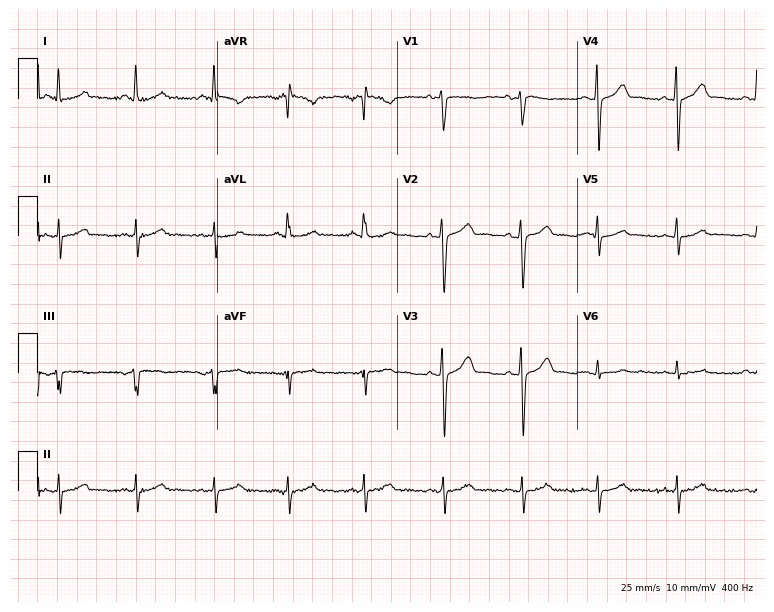
ECG — a 42-year-old female patient. Screened for six findings — first-degree AV block, right bundle branch block (RBBB), left bundle branch block (LBBB), sinus bradycardia, atrial fibrillation (AF), sinus tachycardia — none is recorded. Other findings, if any, are not listed.